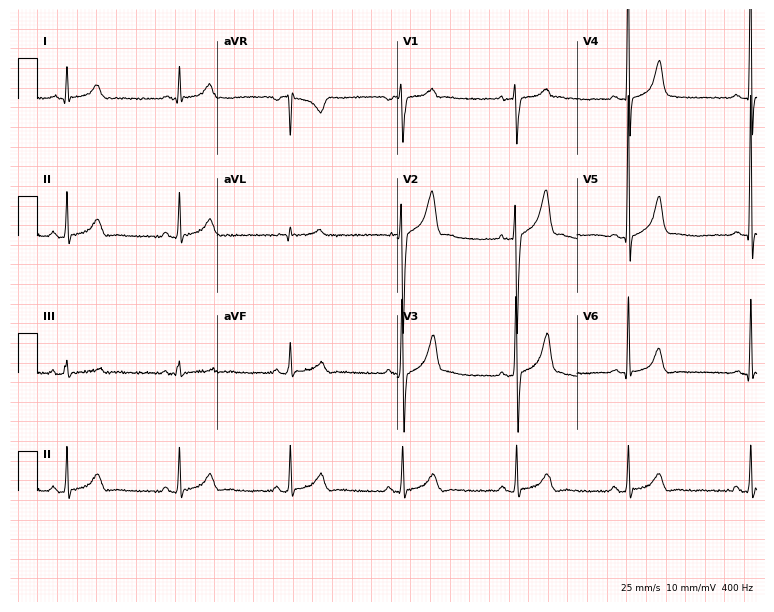
Resting 12-lead electrocardiogram. Patient: a man, 32 years old. Read as a normal ECG.